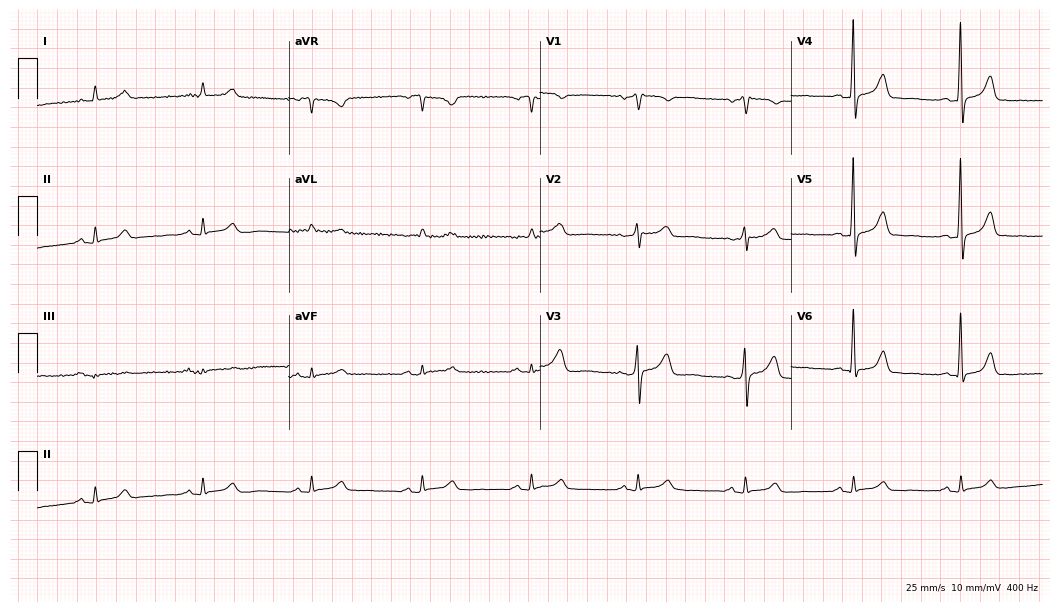
Resting 12-lead electrocardiogram (10.2-second recording at 400 Hz). Patient: a male, 76 years old. None of these six findings is recorded: first-degree AV block, right bundle branch block, left bundle branch block, sinus bradycardia, atrial fibrillation, sinus tachycardia.